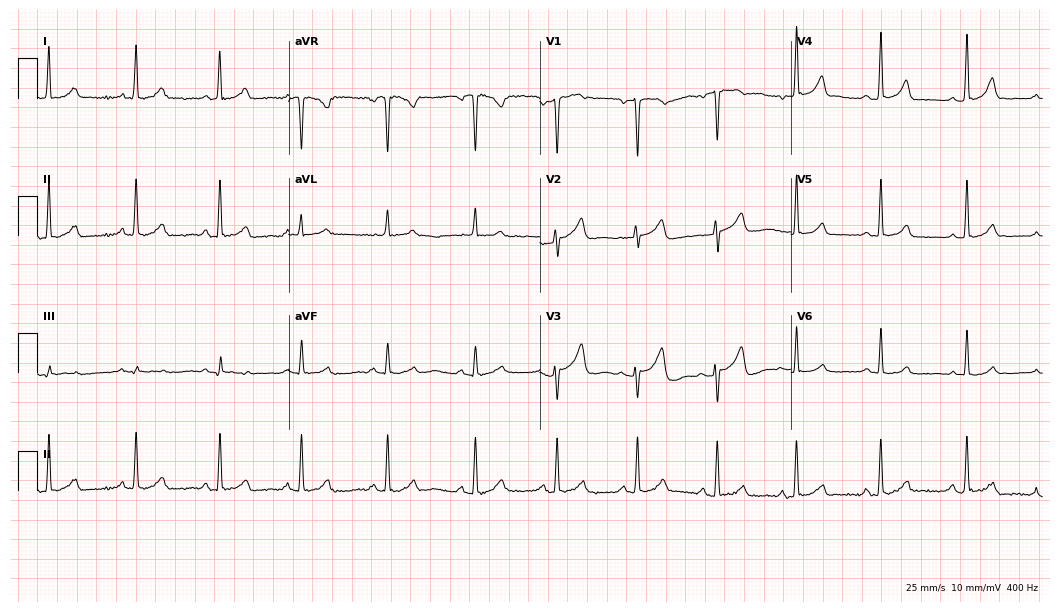
Electrocardiogram, a woman, 52 years old. Overall reading on record: normal ECG.